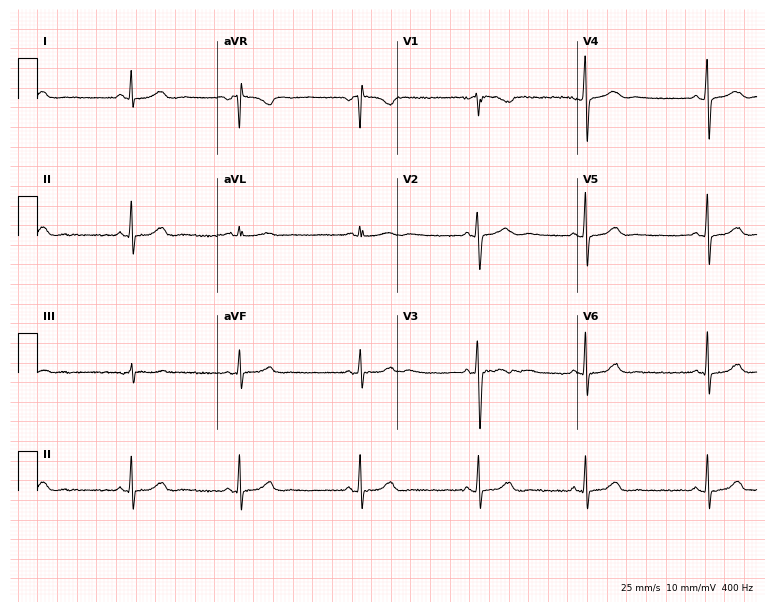
ECG (7.3-second recording at 400 Hz) — a woman, 23 years old. Labelled as a normal ECG.